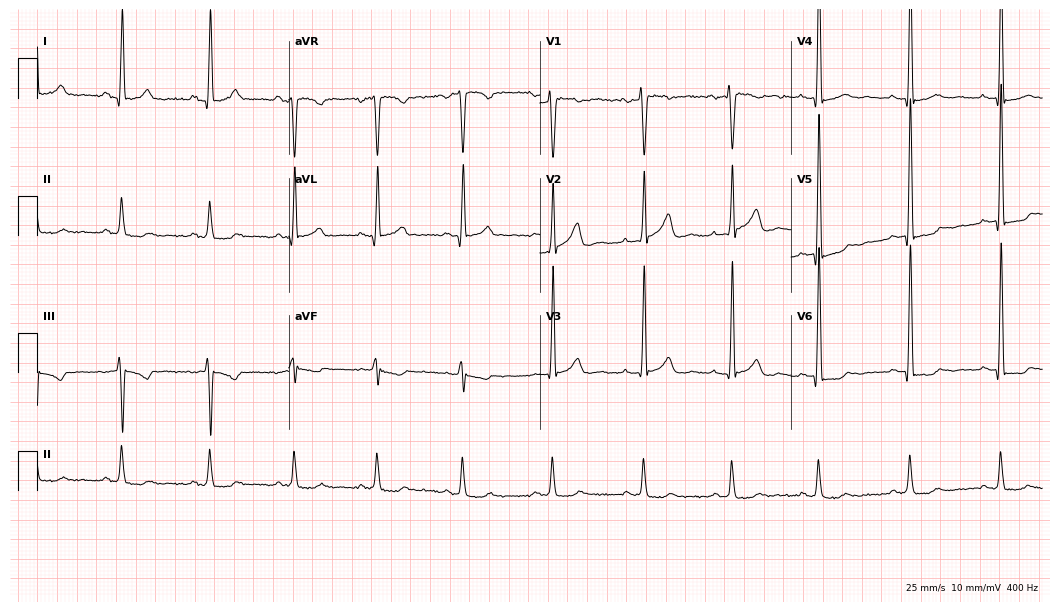
12-lead ECG from a 42-year-old male (10.2-second recording at 400 Hz). No first-degree AV block, right bundle branch block (RBBB), left bundle branch block (LBBB), sinus bradycardia, atrial fibrillation (AF) or sinus tachycardia recorded for this tracing. Findings outside these six are not listed.